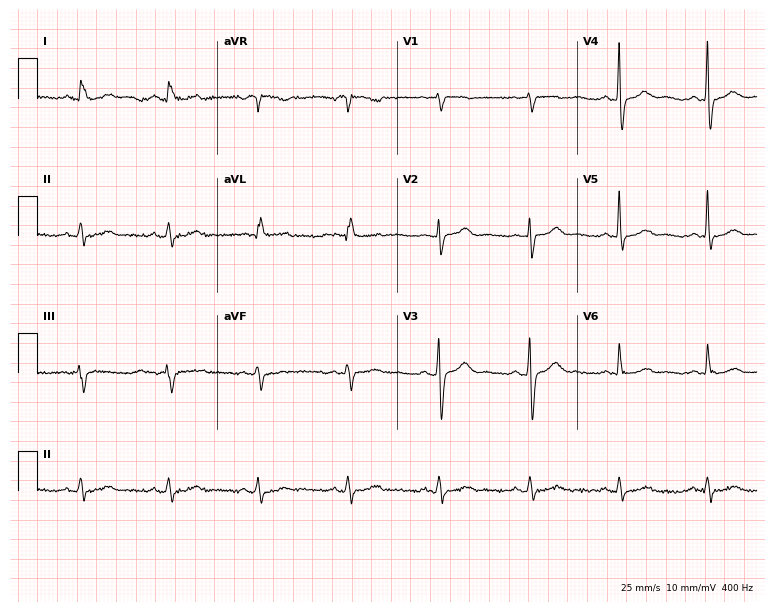
Resting 12-lead electrocardiogram. Patient: a 63-year-old male. Read as a normal ECG.